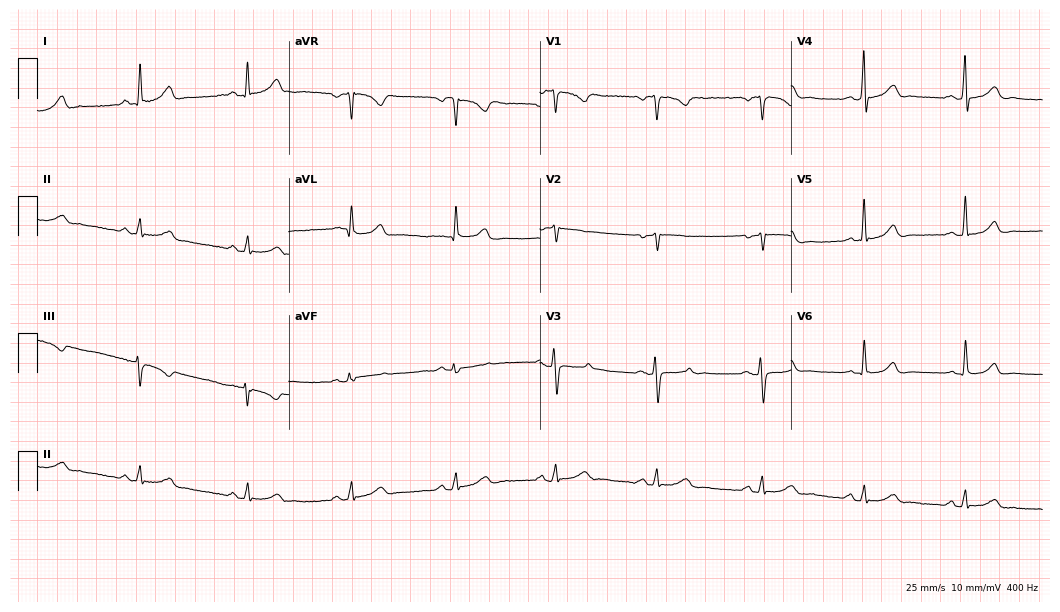
Standard 12-lead ECG recorded from a female patient, 42 years old (10.2-second recording at 400 Hz). None of these six findings is recorded: first-degree AV block, right bundle branch block (RBBB), left bundle branch block (LBBB), sinus bradycardia, atrial fibrillation (AF), sinus tachycardia.